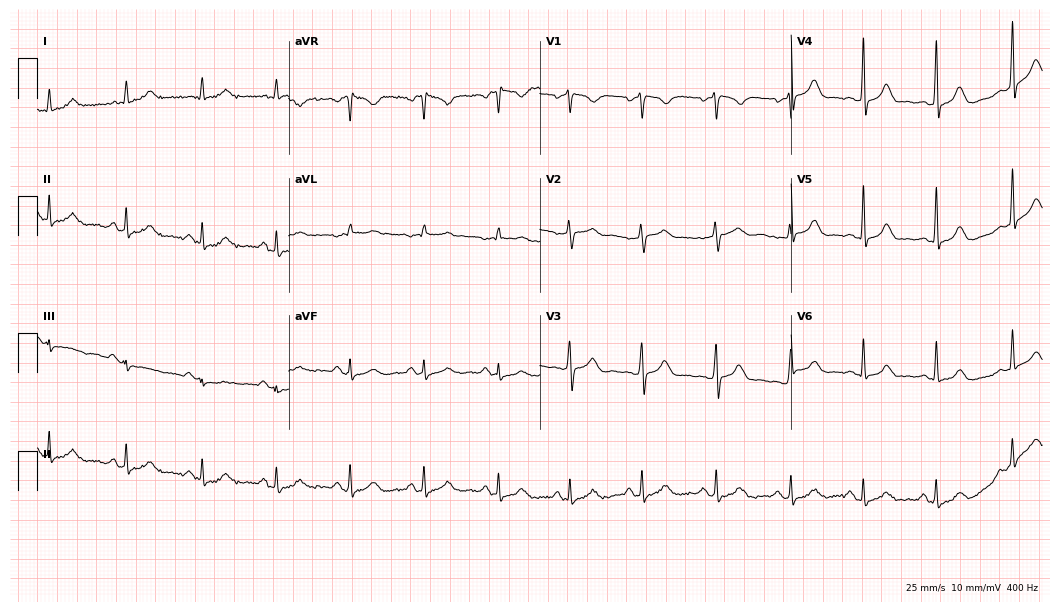
12-lead ECG from a 38-year-old woman (10.2-second recording at 400 Hz). Recorded interpretation: within normal limits.